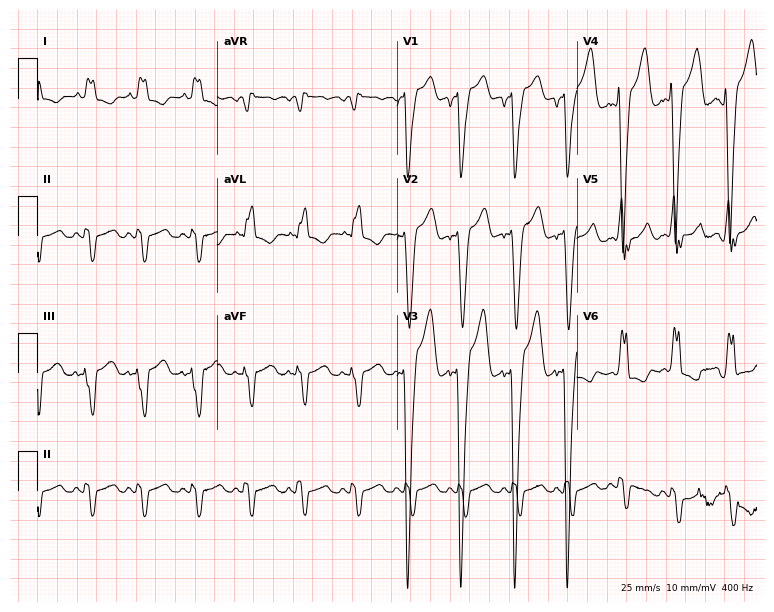
12-lead ECG from a female patient, 80 years old. No first-degree AV block, right bundle branch block (RBBB), left bundle branch block (LBBB), sinus bradycardia, atrial fibrillation (AF) or sinus tachycardia recorded for this tracing. Only these six findings were labelled.